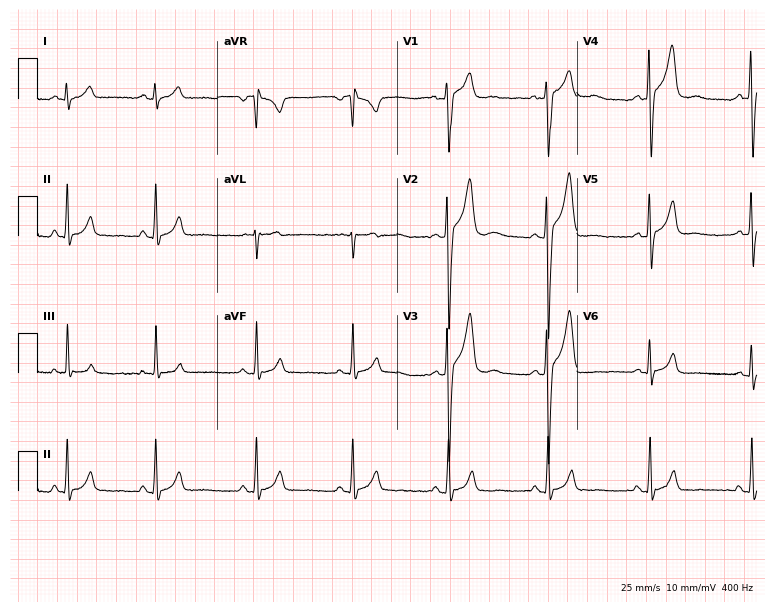
12-lead ECG from a male patient, 19 years old (7.3-second recording at 400 Hz). Recorded interpretation: within normal limits.